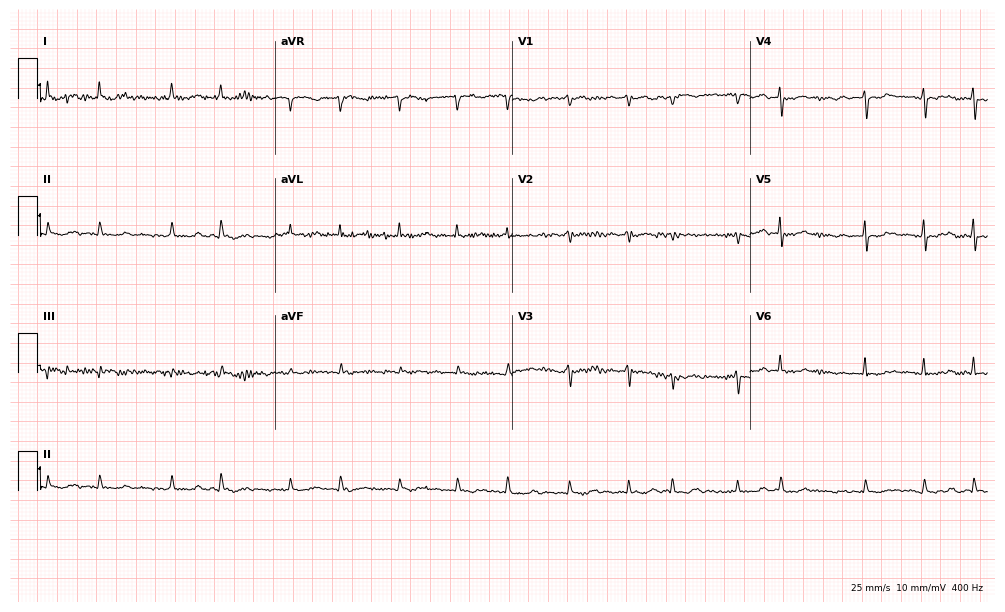
Electrocardiogram (9.7-second recording at 400 Hz), a 78-year-old female patient. Interpretation includes atrial fibrillation (AF).